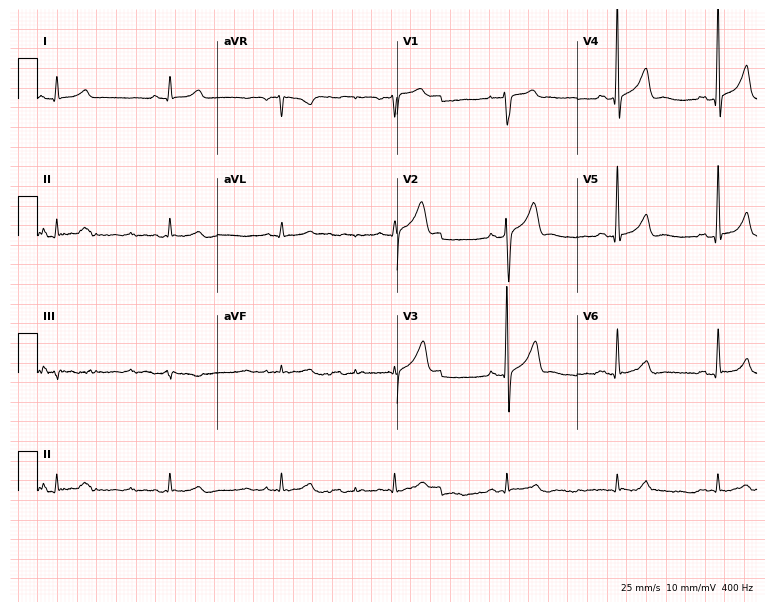
Resting 12-lead electrocardiogram. Patient: a 44-year-old male. Read as a normal ECG.